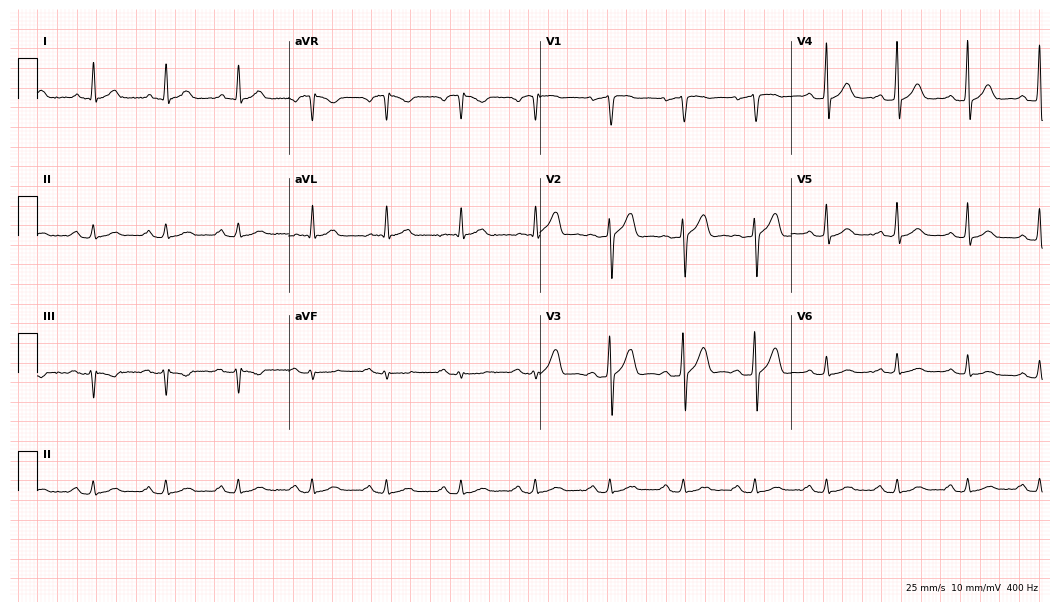
12-lead ECG (10.2-second recording at 400 Hz) from a man, 69 years old. Labelled as a normal ECG.